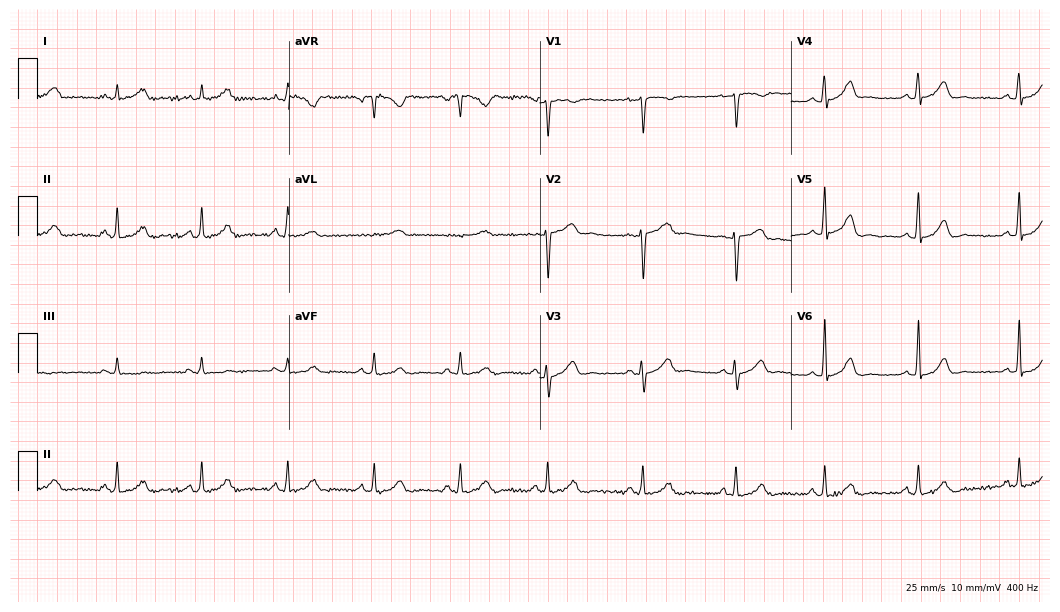
Standard 12-lead ECG recorded from a woman, 28 years old. None of these six findings is recorded: first-degree AV block, right bundle branch block, left bundle branch block, sinus bradycardia, atrial fibrillation, sinus tachycardia. Findings outside these six are not listed.